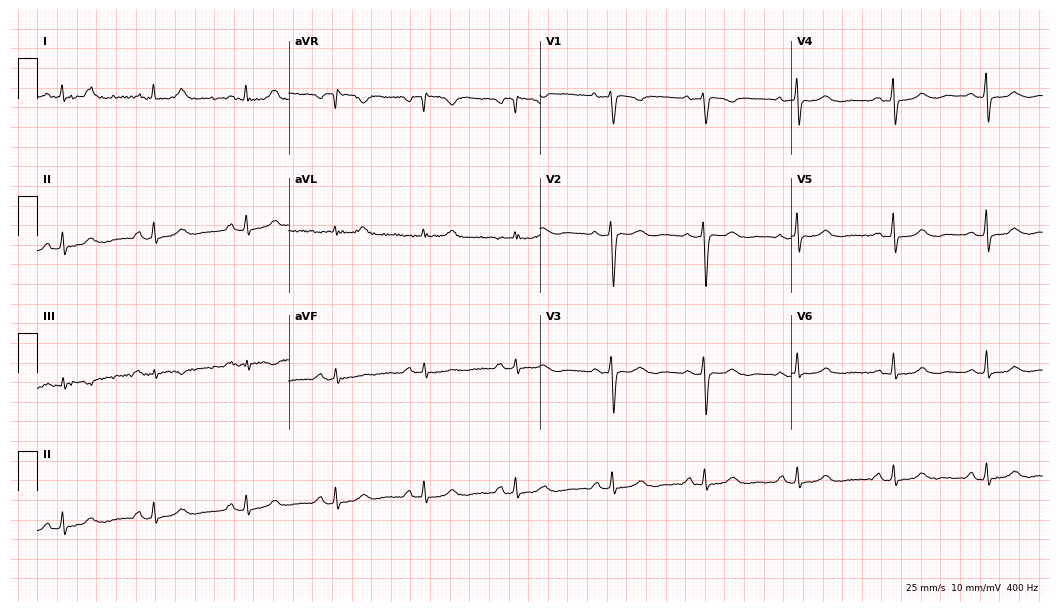
12-lead ECG from a female, 61 years old. Recorded interpretation: within normal limits.